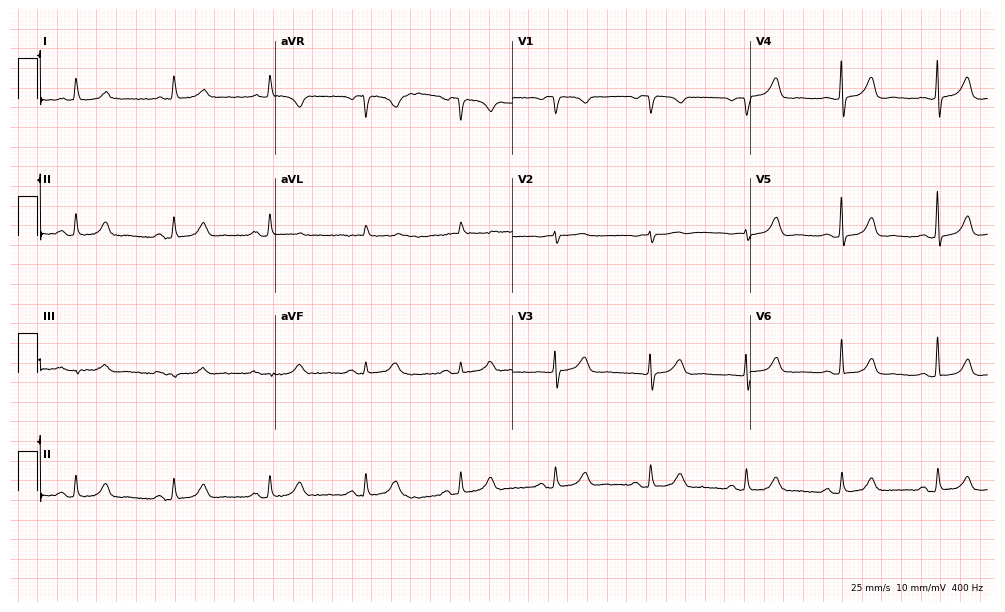
Electrocardiogram (9.7-second recording at 400 Hz), a female, 81 years old. Overall reading on record: normal ECG.